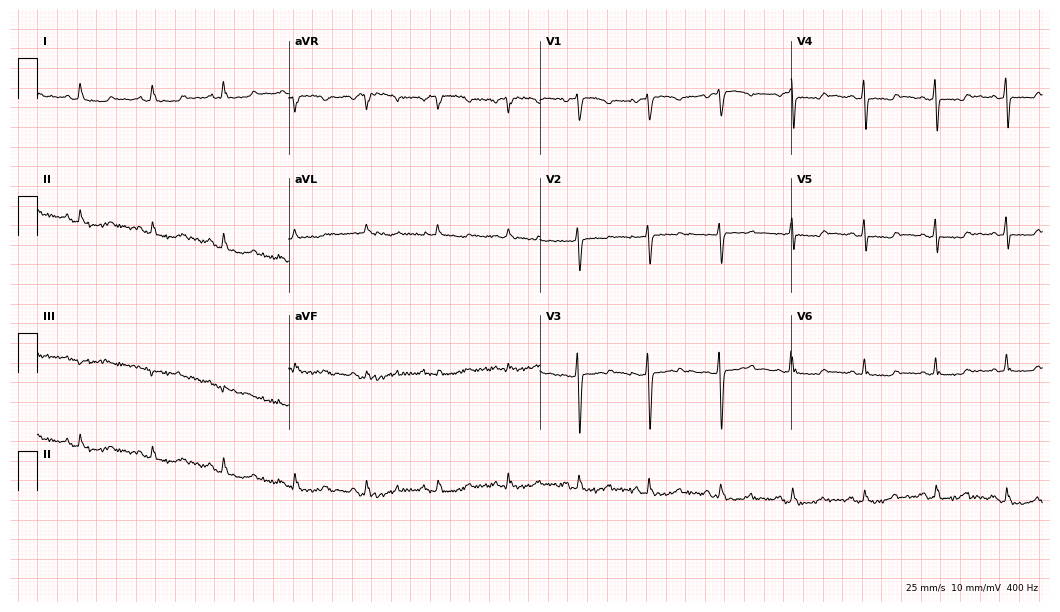
Resting 12-lead electrocardiogram. Patient: a female, 47 years old. None of these six findings is recorded: first-degree AV block, right bundle branch block (RBBB), left bundle branch block (LBBB), sinus bradycardia, atrial fibrillation (AF), sinus tachycardia. Only these six findings were labelled.